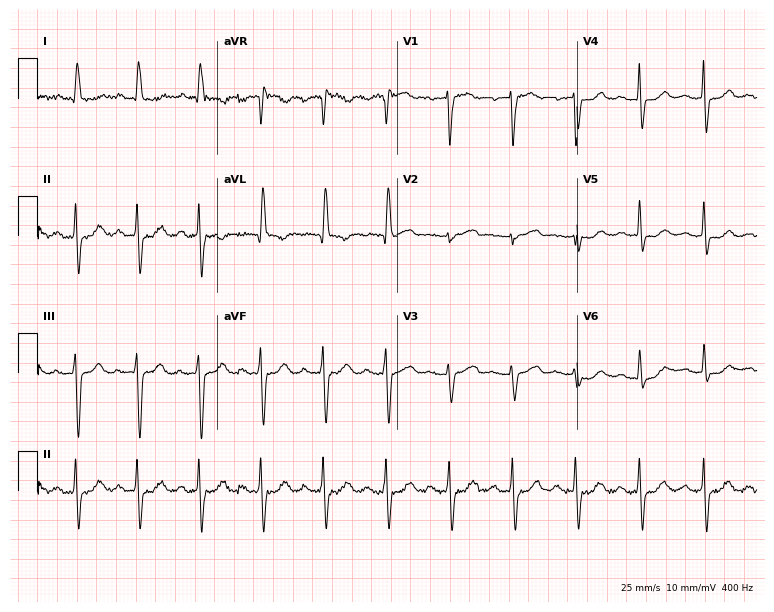
Electrocardiogram, an 80-year-old woman. Interpretation includes first-degree AV block.